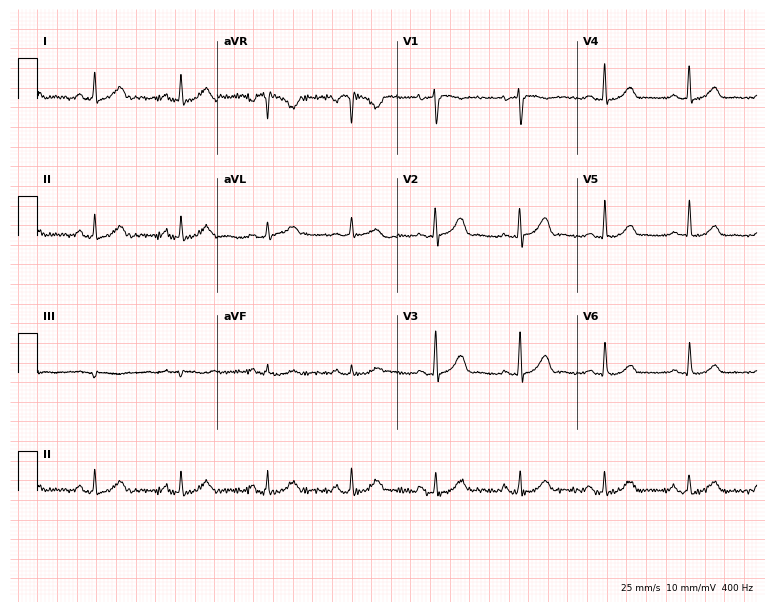
12-lead ECG (7.3-second recording at 400 Hz) from a 68-year-old female. Labelled as a normal ECG.